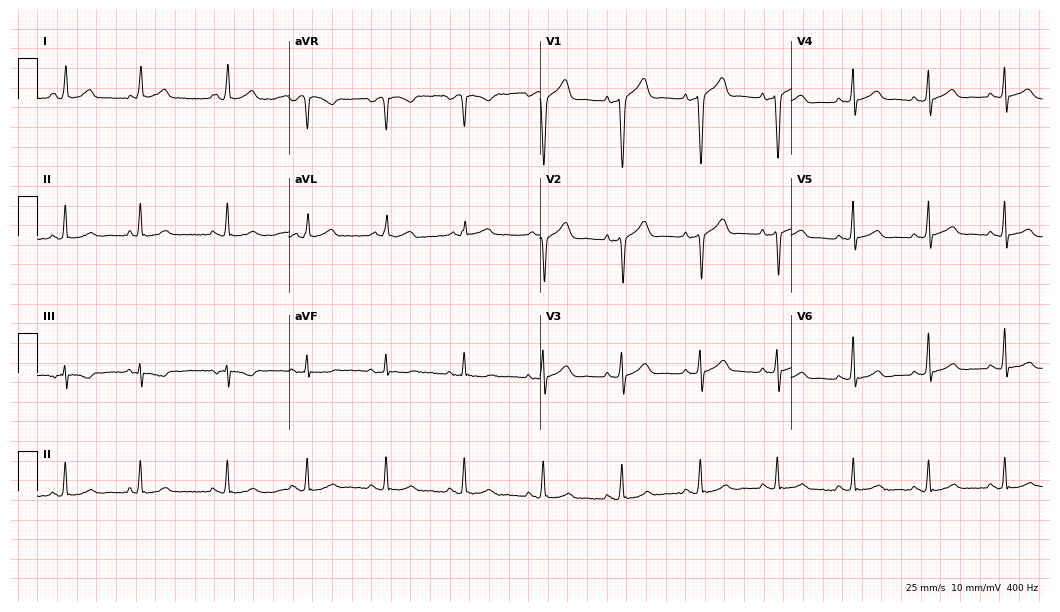
ECG — a male, 61 years old. Screened for six findings — first-degree AV block, right bundle branch block, left bundle branch block, sinus bradycardia, atrial fibrillation, sinus tachycardia — none is recorded. Findings outside these six are not listed.